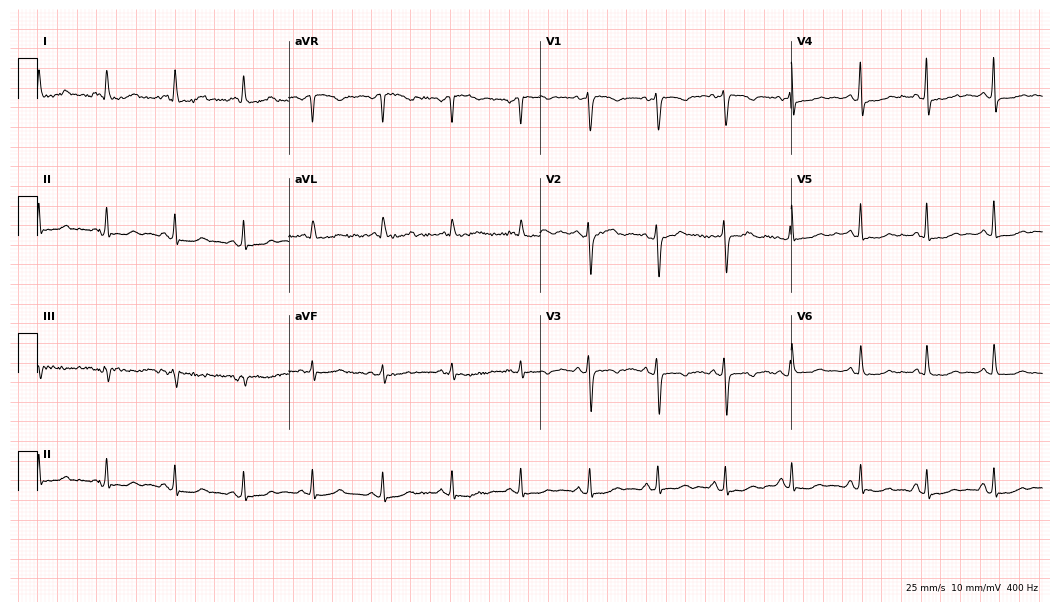
Electrocardiogram (10.2-second recording at 400 Hz), a 60-year-old female patient. Of the six screened findings (first-degree AV block, right bundle branch block (RBBB), left bundle branch block (LBBB), sinus bradycardia, atrial fibrillation (AF), sinus tachycardia), none is recorded.